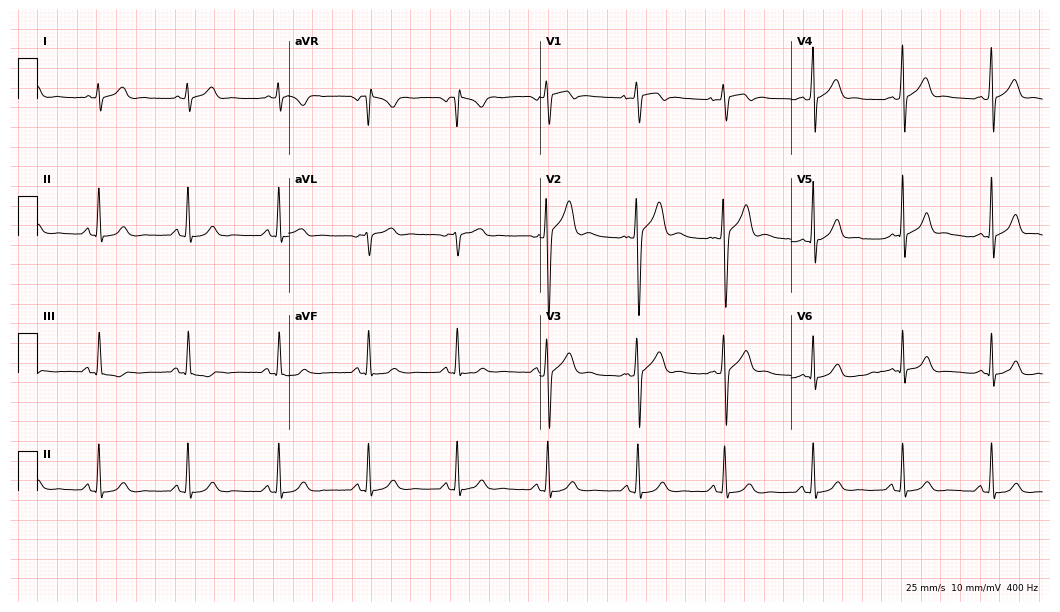
Standard 12-lead ECG recorded from a 23-year-old male patient (10.2-second recording at 400 Hz). Read as a normal ECG.